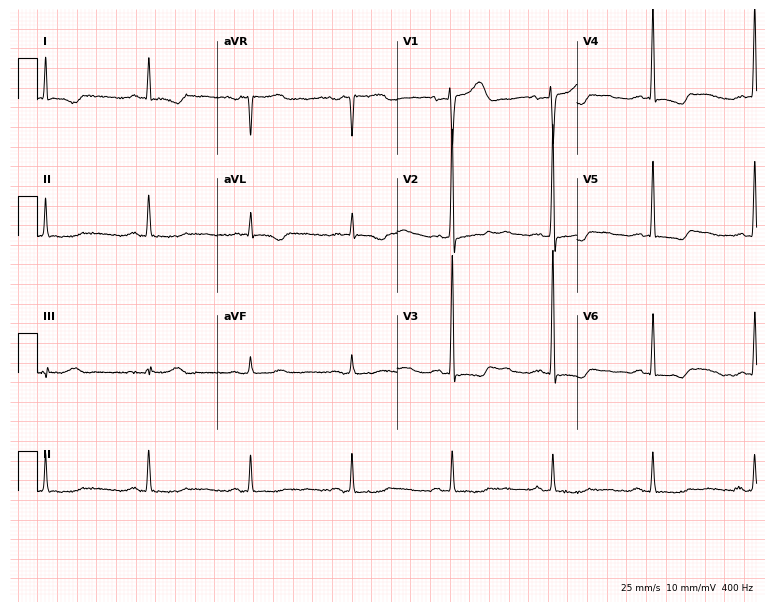
12-lead ECG from a 67-year-old male patient (7.3-second recording at 400 Hz). No first-degree AV block, right bundle branch block (RBBB), left bundle branch block (LBBB), sinus bradycardia, atrial fibrillation (AF) or sinus tachycardia recorded for this tracing.